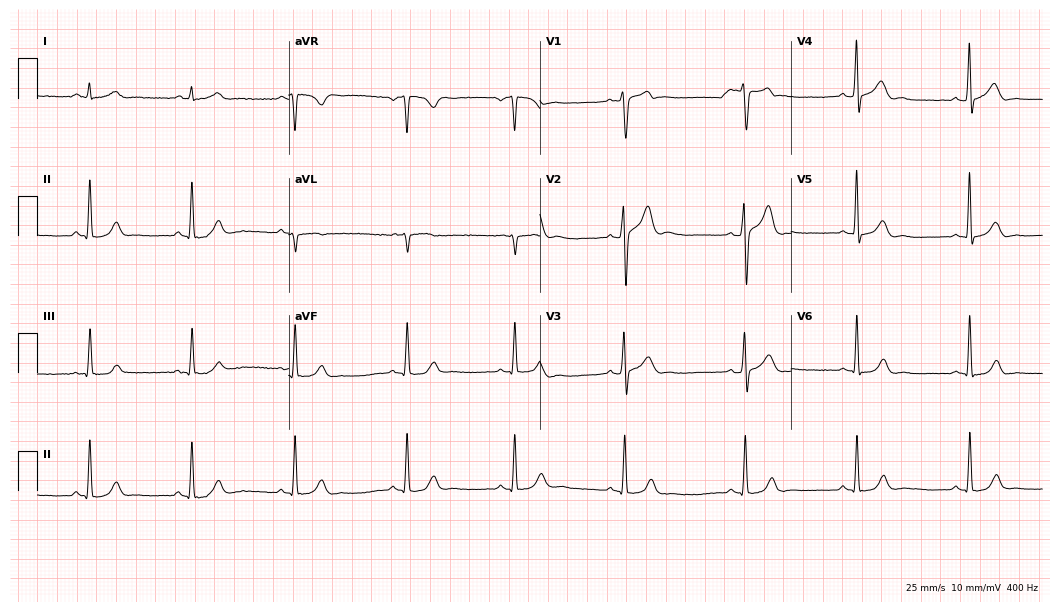
ECG — a man, 28 years old. Labelled as a normal ECG.